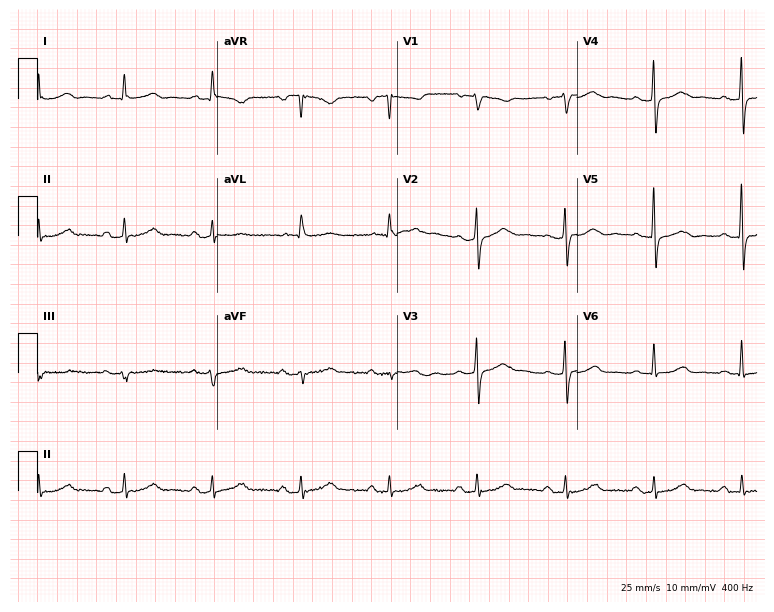
ECG — a 60-year-old woman. Labelled as a normal ECG.